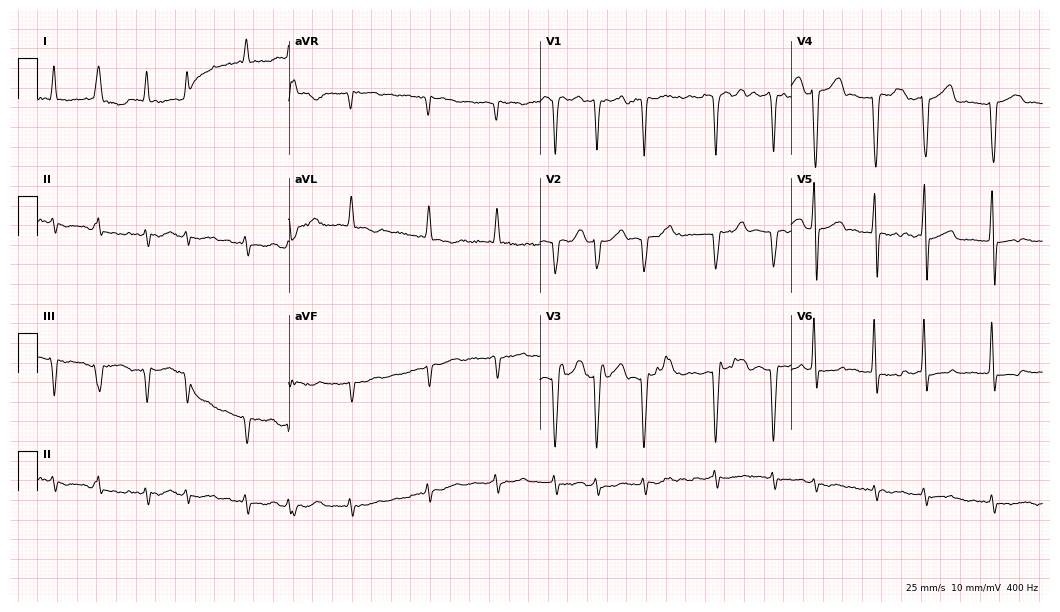
12-lead ECG from a male patient, 71 years old. Shows atrial fibrillation.